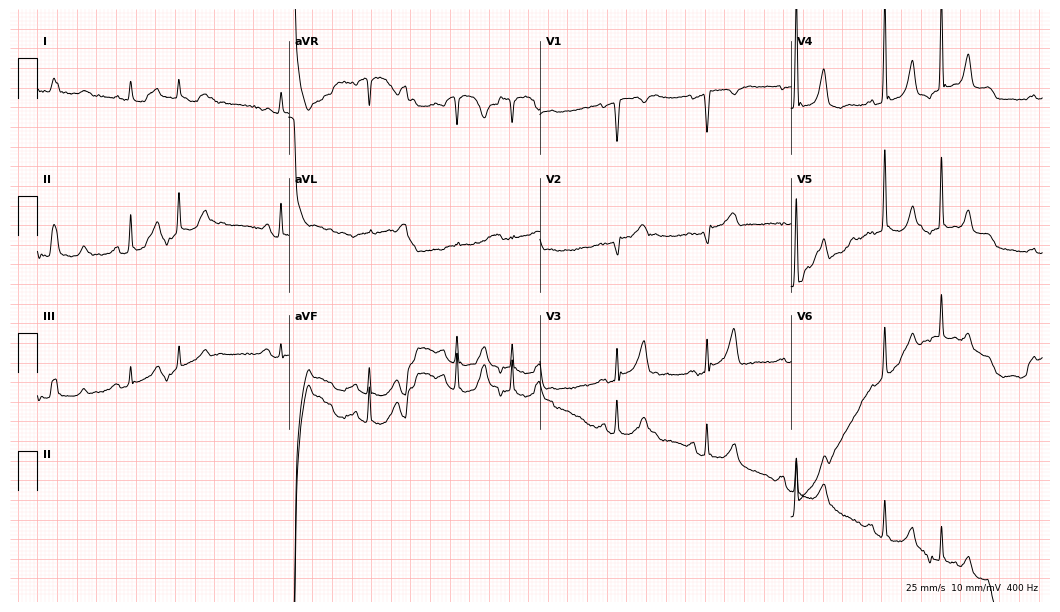
12-lead ECG from an 85-year-old male. No first-degree AV block, right bundle branch block, left bundle branch block, sinus bradycardia, atrial fibrillation or sinus tachycardia recorded for this tracing. Only these six findings were labelled.